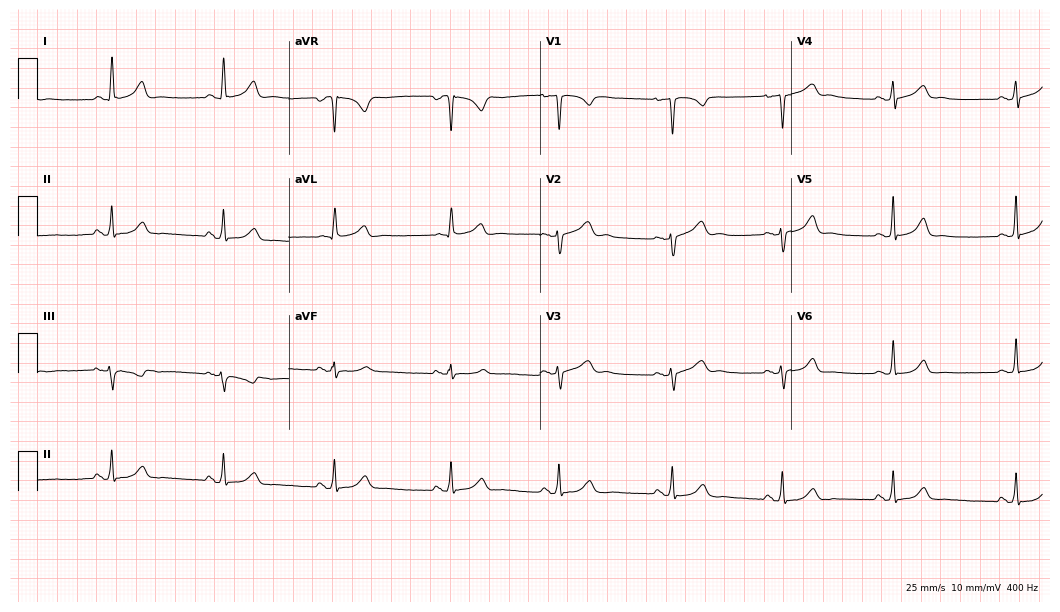
Electrocardiogram, a female patient, 34 years old. Overall reading on record: normal ECG.